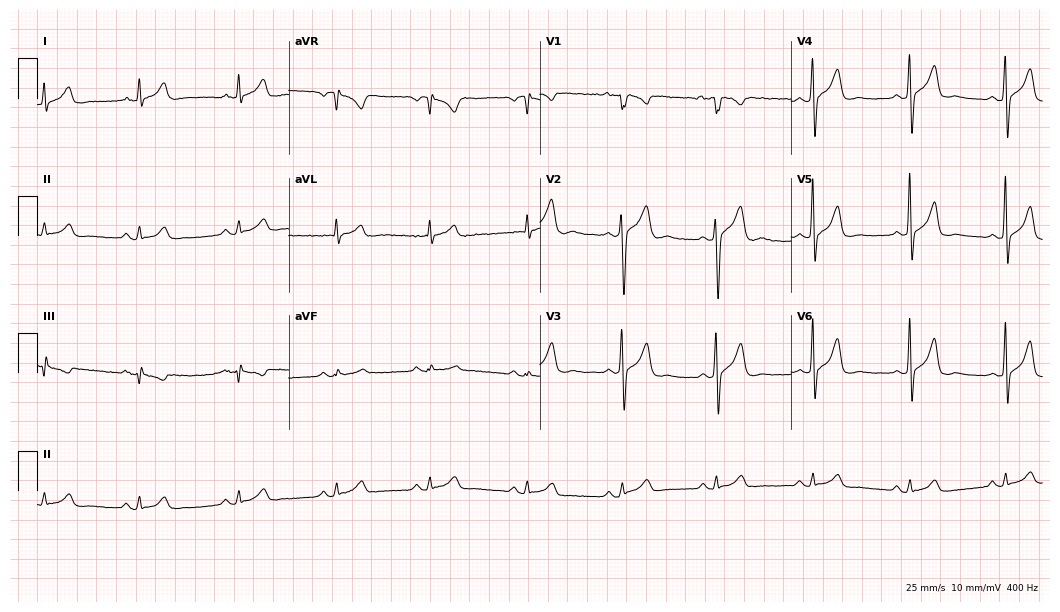
Electrocardiogram, a 44-year-old male patient. Of the six screened findings (first-degree AV block, right bundle branch block (RBBB), left bundle branch block (LBBB), sinus bradycardia, atrial fibrillation (AF), sinus tachycardia), none is recorded.